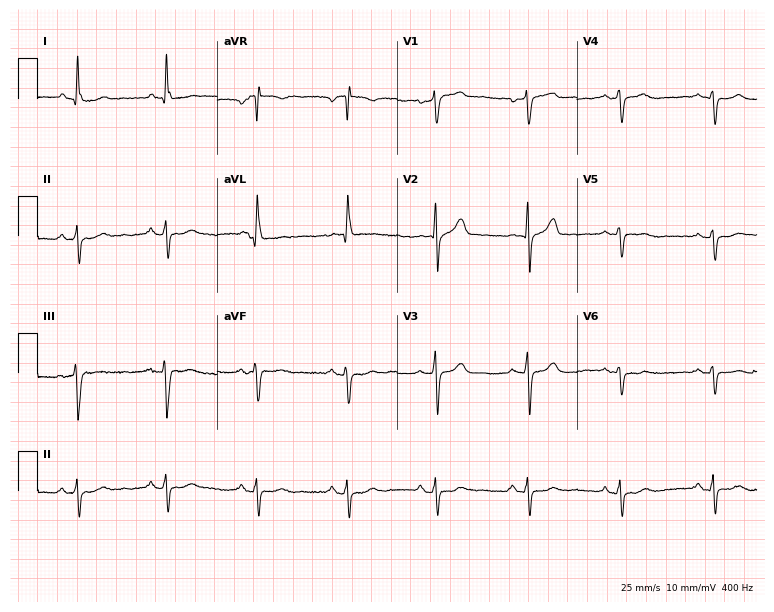
12-lead ECG from an 83-year-old female (7.3-second recording at 400 Hz). No first-degree AV block, right bundle branch block (RBBB), left bundle branch block (LBBB), sinus bradycardia, atrial fibrillation (AF) or sinus tachycardia recorded for this tracing.